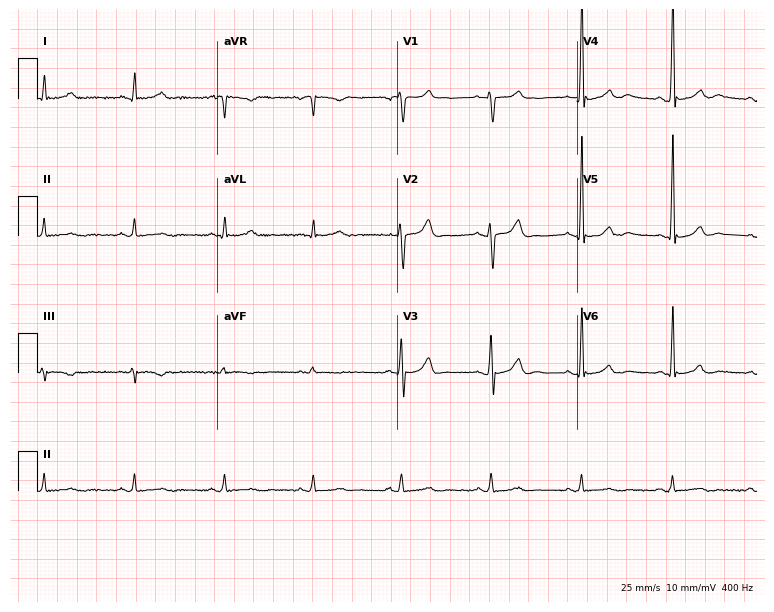
ECG (7.3-second recording at 400 Hz) — a 47-year-old man. Labelled as a normal ECG.